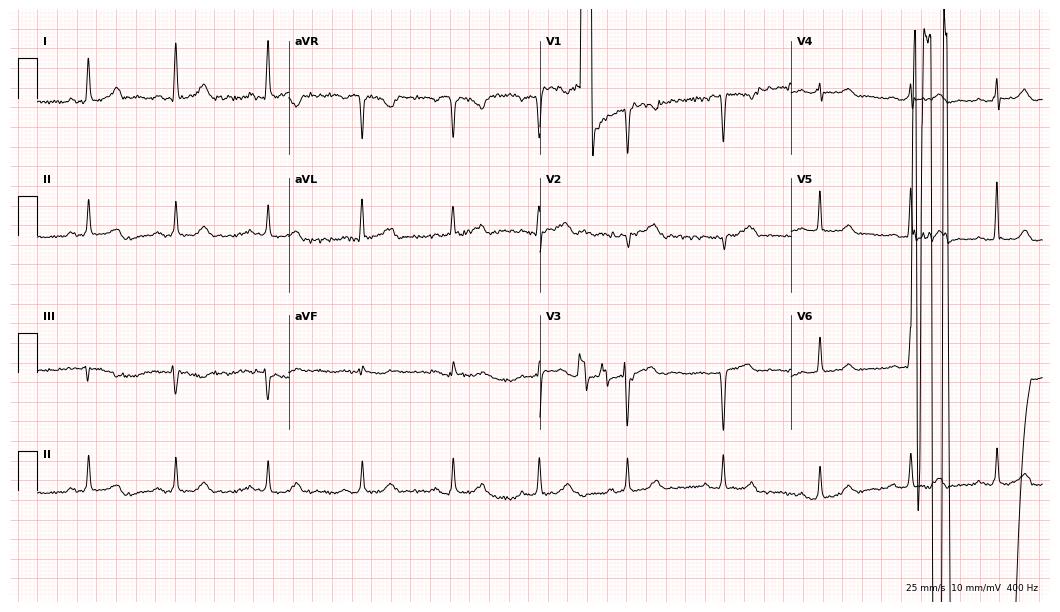
12-lead ECG from a 50-year-old woman. Screened for six findings — first-degree AV block, right bundle branch block, left bundle branch block, sinus bradycardia, atrial fibrillation, sinus tachycardia — none is recorded.